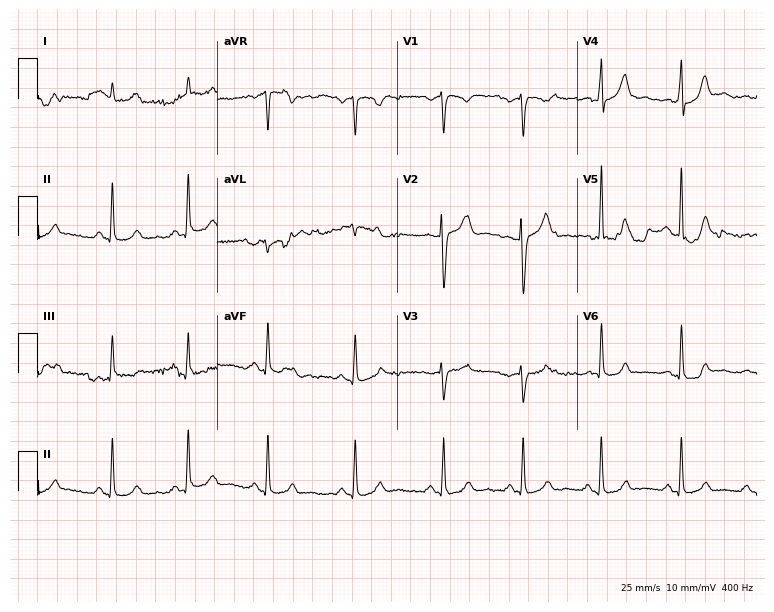
Electrocardiogram (7.3-second recording at 400 Hz), a 37-year-old female patient. Overall reading on record: normal ECG.